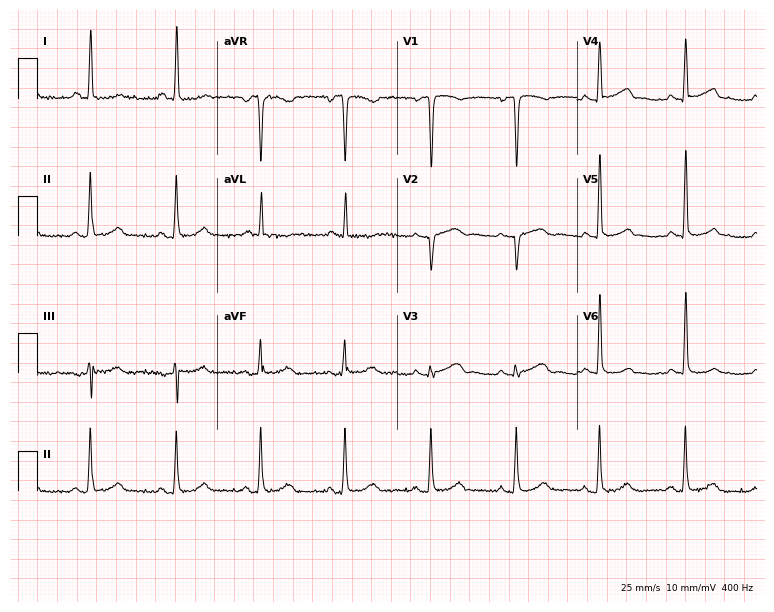
12-lead ECG from a 70-year-old female patient. No first-degree AV block, right bundle branch block, left bundle branch block, sinus bradycardia, atrial fibrillation or sinus tachycardia recorded for this tracing. Findings outside these six are not listed.